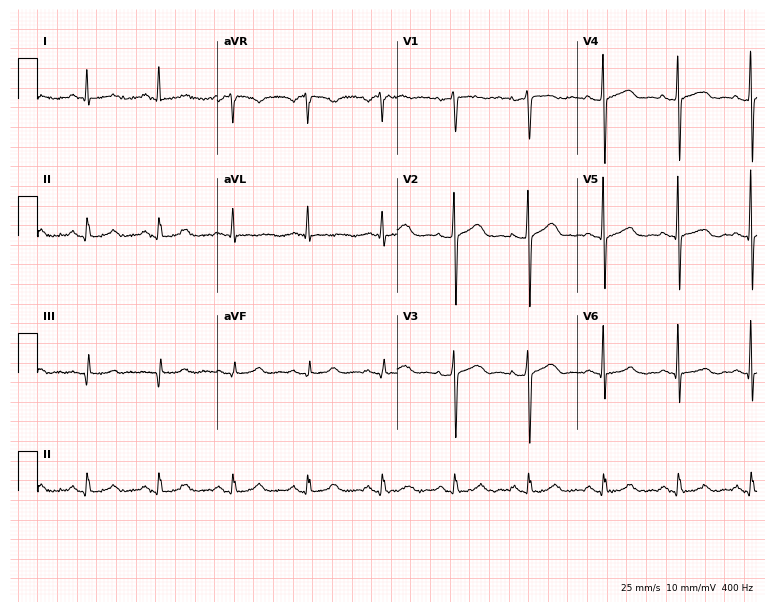
Resting 12-lead electrocardiogram (7.3-second recording at 400 Hz). Patient: a 50-year-old woman. Read as a normal ECG.